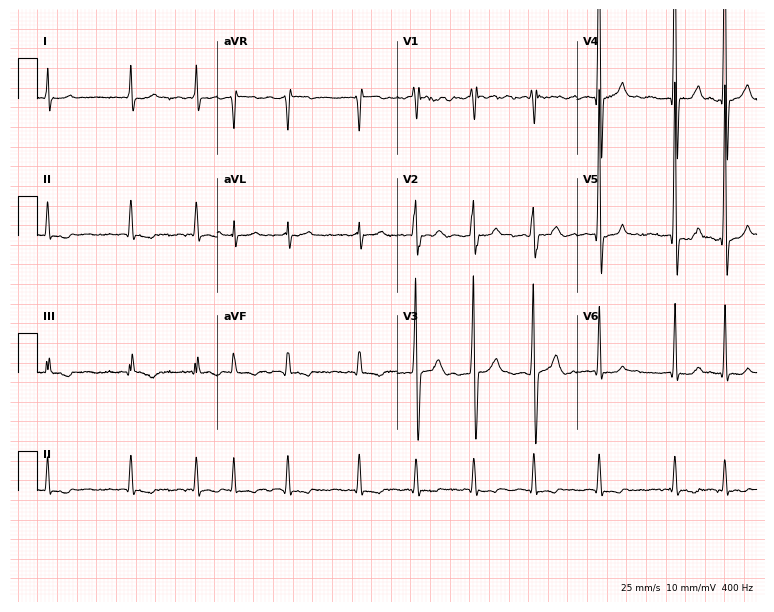
12-lead ECG from a male, 65 years old. Shows atrial fibrillation.